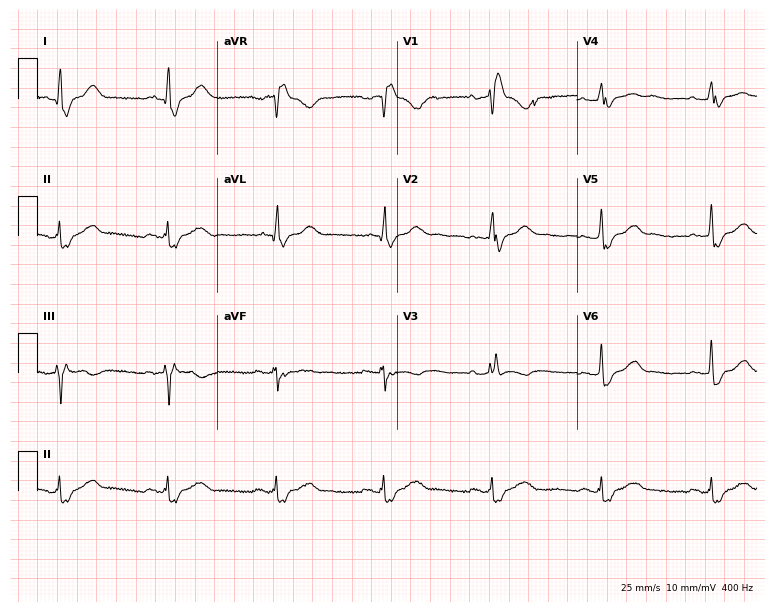
12-lead ECG from a female patient, 51 years old (7.3-second recording at 400 Hz). No first-degree AV block, right bundle branch block, left bundle branch block, sinus bradycardia, atrial fibrillation or sinus tachycardia recorded for this tracing.